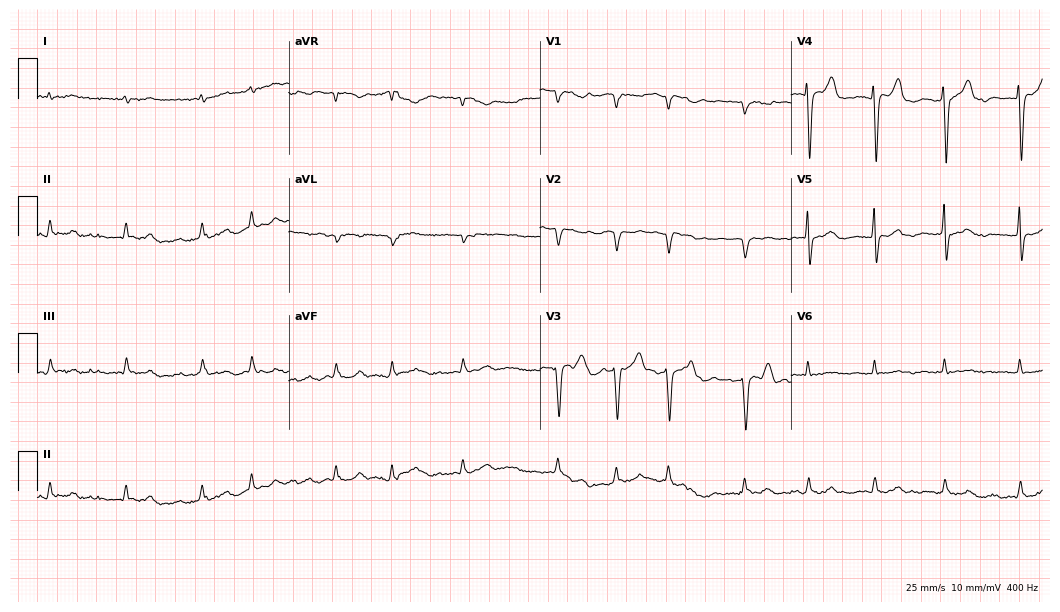
Resting 12-lead electrocardiogram (10.2-second recording at 400 Hz). Patient: a 74-year-old male. The tracing shows atrial fibrillation.